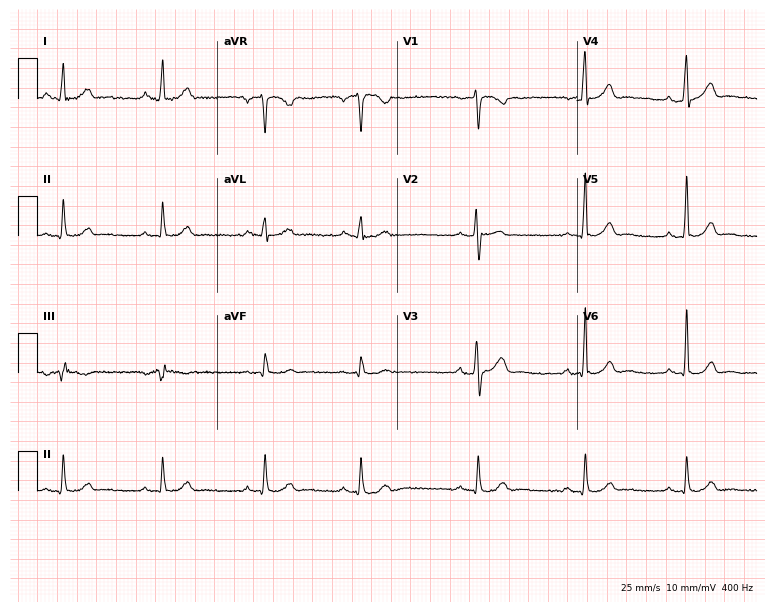
Electrocardiogram (7.3-second recording at 400 Hz), a 44-year-old male. Overall reading on record: normal ECG.